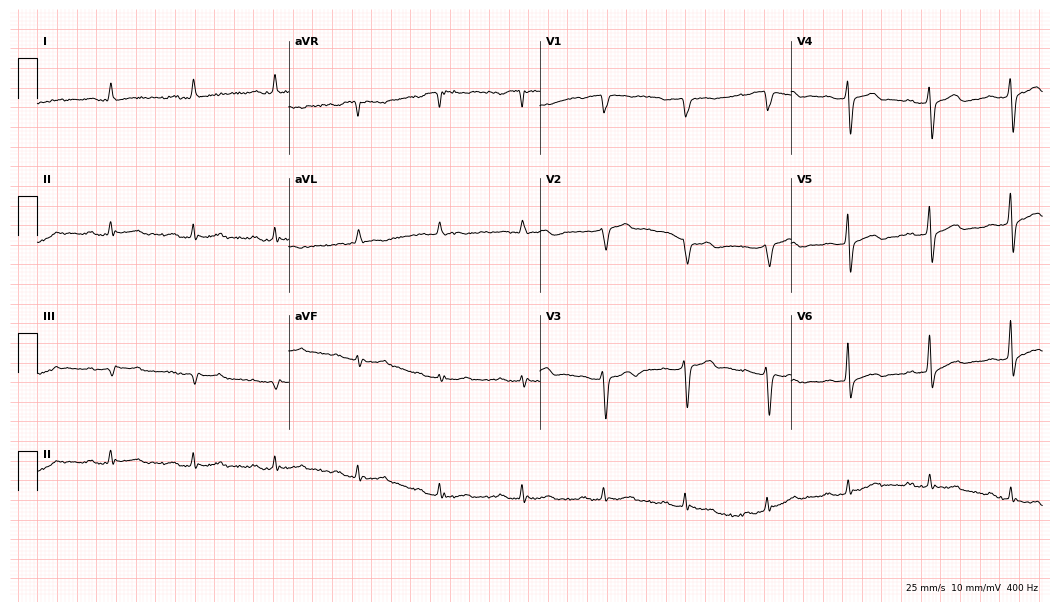
Resting 12-lead electrocardiogram. Patient: a male, 65 years old. None of these six findings is recorded: first-degree AV block, right bundle branch block, left bundle branch block, sinus bradycardia, atrial fibrillation, sinus tachycardia. Findings outside these six are not listed.